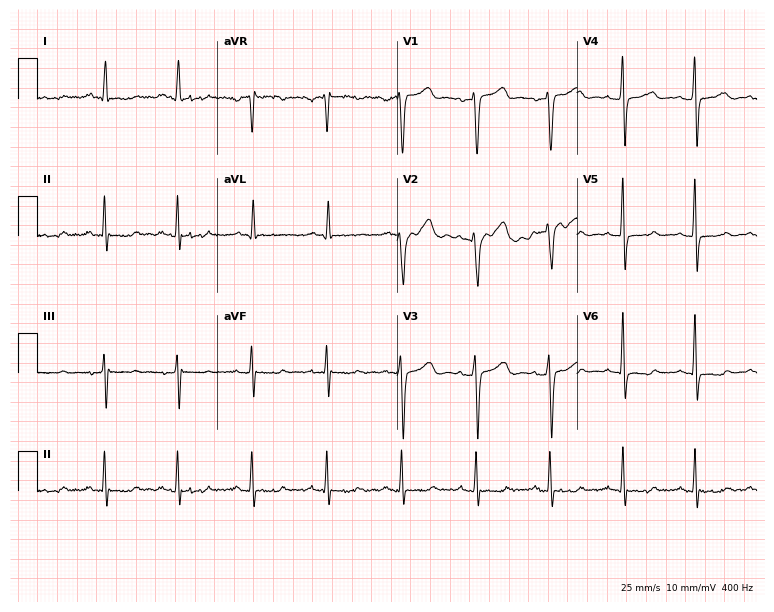
12-lead ECG (7.3-second recording at 400 Hz) from a female patient, 58 years old. Screened for six findings — first-degree AV block, right bundle branch block (RBBB), left bundle branch block (LBBB), sinus bradycardia, atrial fibrillation (AF), sinus tachycardia — none is recorded.